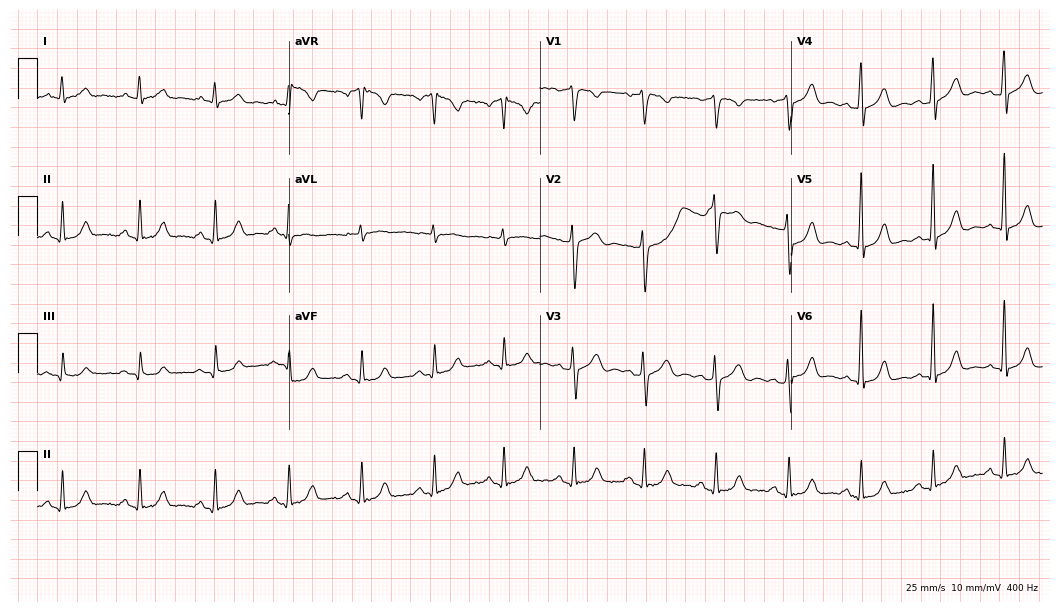
Electrocardiogram, a 46-year-old man. Of the six screened findings (first-degree AV block, right bundle branch block, left bundle branch block, sinus bradycardia, atrial fibrillation, sinus tachycardia), none is recorded.